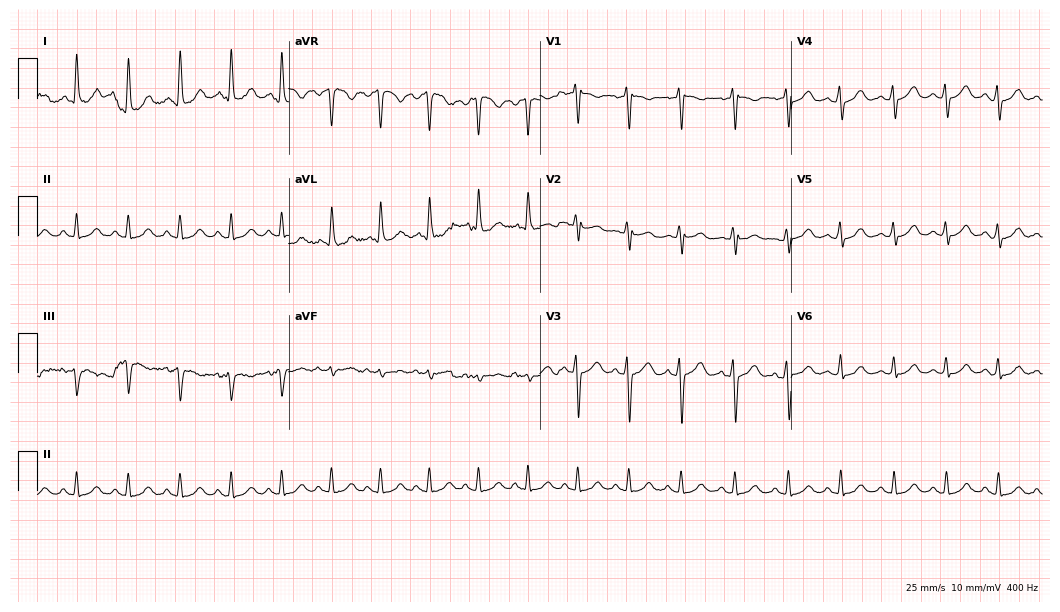
Resting 12-lead electrocardiogram. Patient: a female, 45 years old. The tracing shows sinus tachycardia (a sinus rate of 100 beats per minute or more).